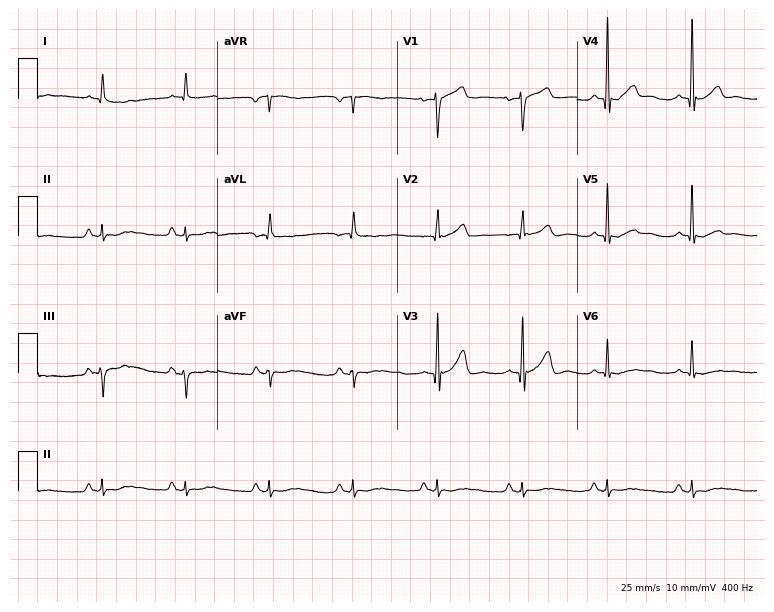
12-lead ECG from a 52-year-old male patient. Labelled as a normal ECG.